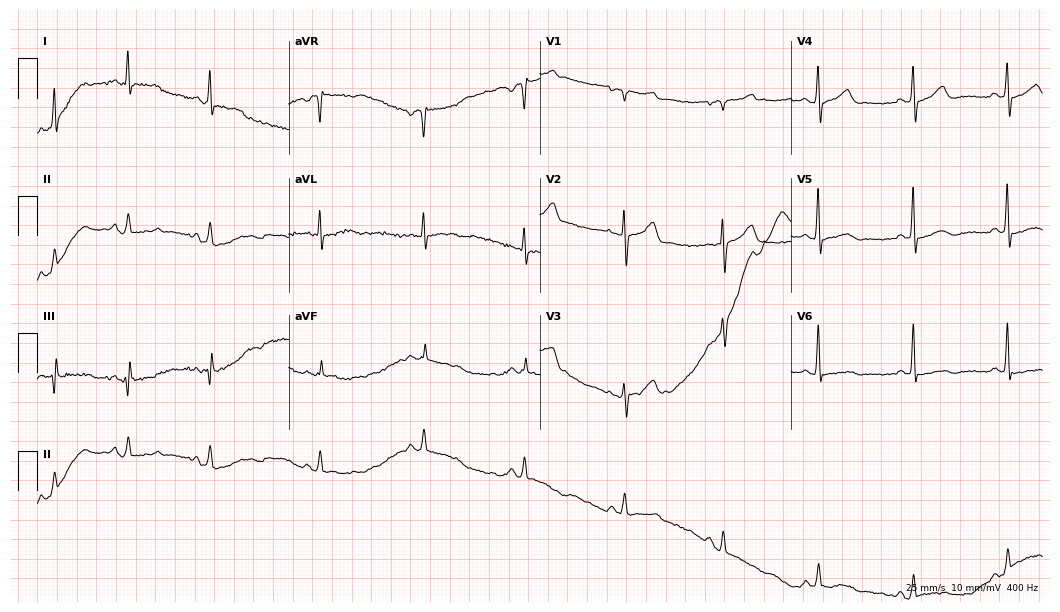
12-lead ECG from a man, 57 years old. No first-degree AV block, right bundle branch block, left bundle branch block, sinus bradycardia, atrial fibrillation or sinus tachycardia recorded for this tracing.